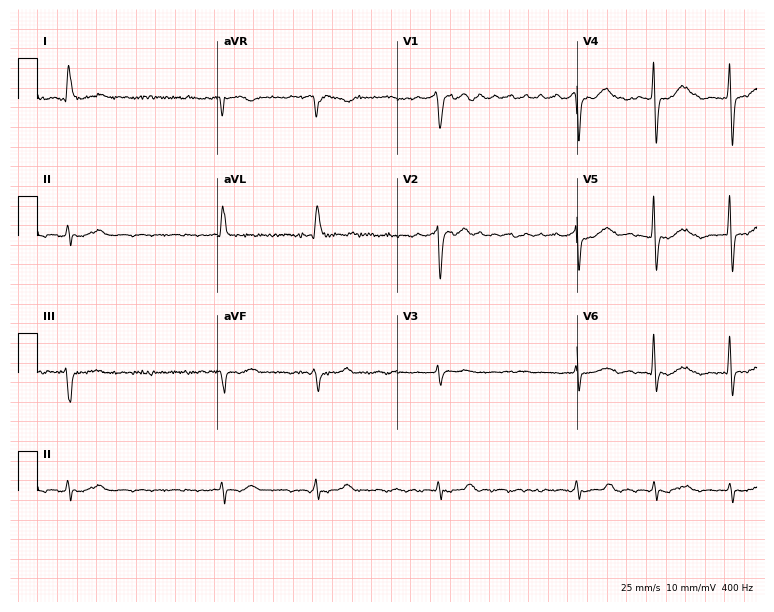
Electrocardiogram, a male patient, 70 years old. Interpretation includes atrial fibrillation (AF).